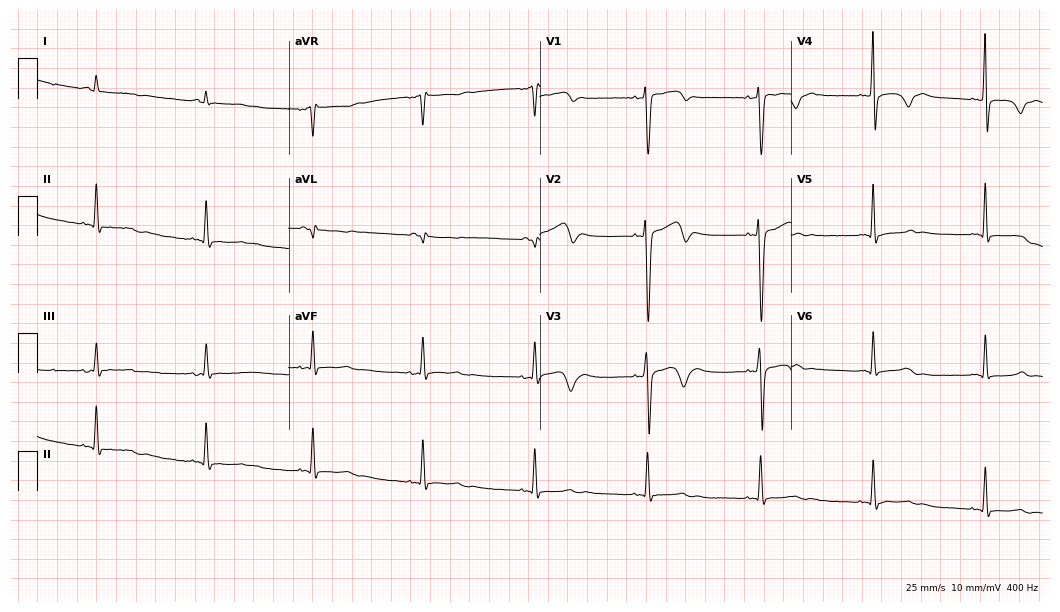
Resting 12-lead electrocardiogram. Patient: a 30-year-old man. None of these six findings is recorded: first-degree AV block, right bundle branch block, left bundle branch block, sinus bradycardia, atrial fibrillation, sinus tachycardia. Findings outside these six are not listed.